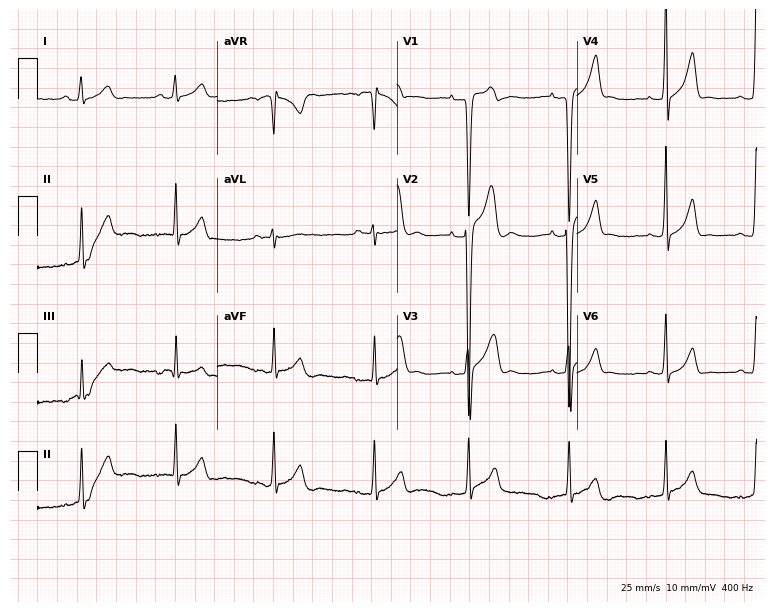
Electrocardiogram (7.3-second recording at 400 Hz), a 20-year-old male. Of the six screened findings (first-degree AV block, right bundle branch block, left bundle branch block, sinus bradycardia, atrial fibrillation, sinus tachycardia), none is recorded. Findings outside these six are not listed.